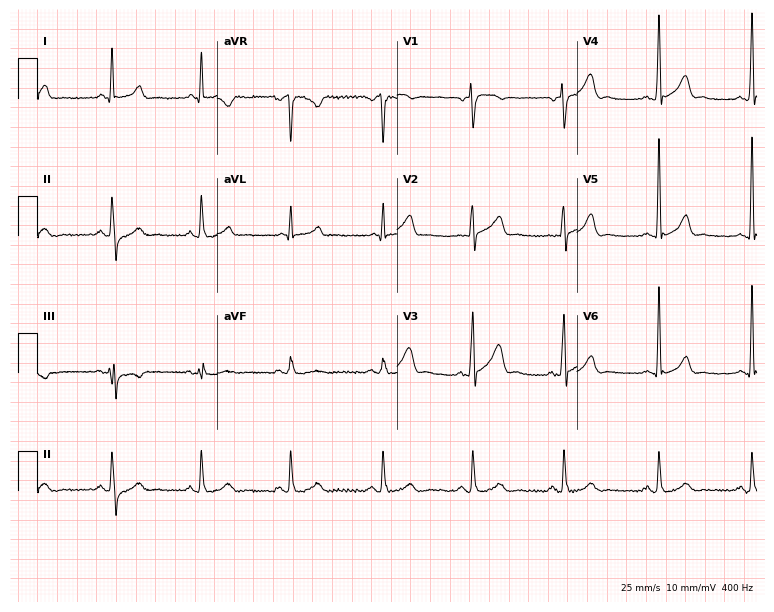
ECG (7.3-second recording at 400 Hz) — a 48-year-old male patient. Labelled as a normal ECG.